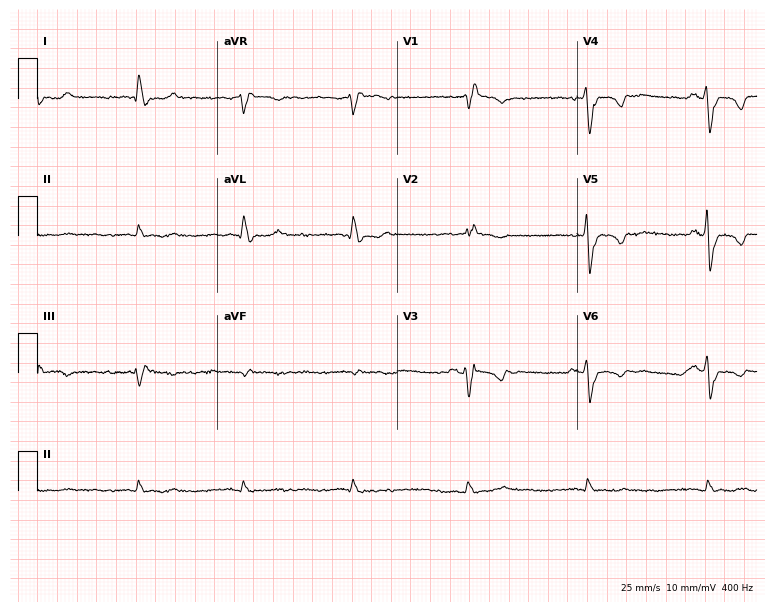
ECG (7.3-second recording at 400 Hz) — a female, 83 years old. Screened for six findings — first-degree AV block, right bundle branch block (RBBB), left bundle branch block (LBBB), sinus bradycardia, atrial fibrillation (AF), sinus tachycardia — none is recorded.